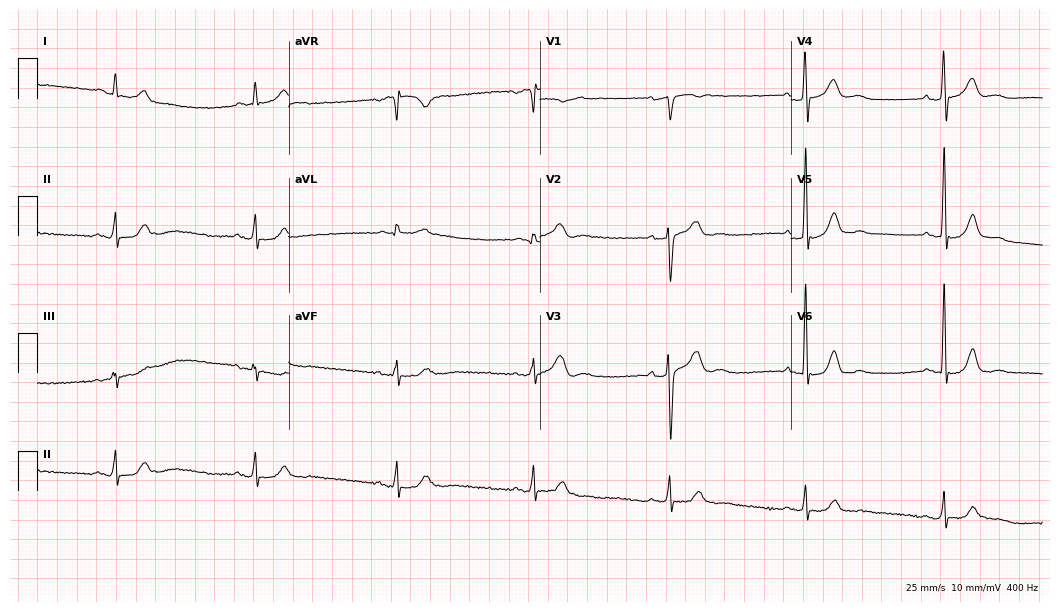
Resting 12-lead electrocardiogram. Patient: a male, 62 years old. None of these six findings is recorded: first-degree AV block, right bundle branch block, left bundle branch block, sinus bradycardia, atrial fibrillation, sinus tachycardia.